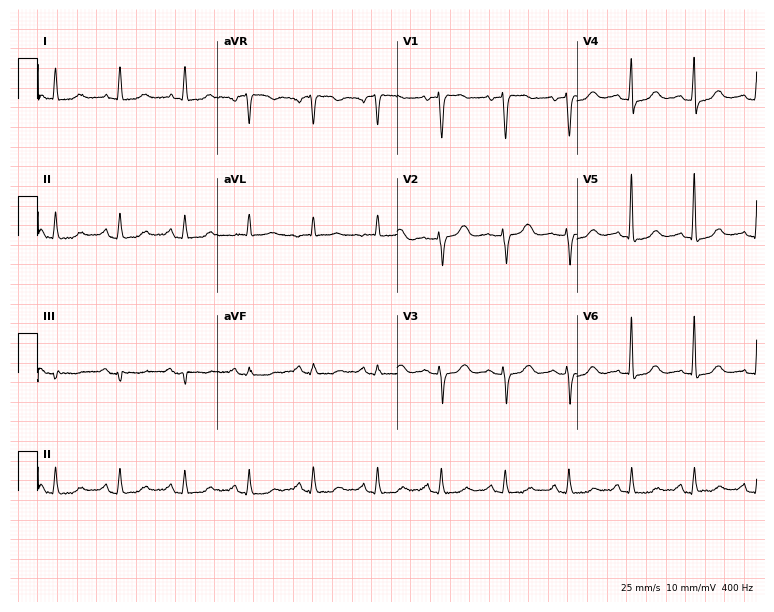
Resting 12-lead electrocardiogram (7.3-second recording at 400 Hz). Patient: a 63-year-old female. None of these six findings is recorded: first-degree AV block, right bundle branch block (RBBB), left bundle branch block (LBBB), sinus bradycardia, atrial fibrillation (AF), sinus tachycardia.